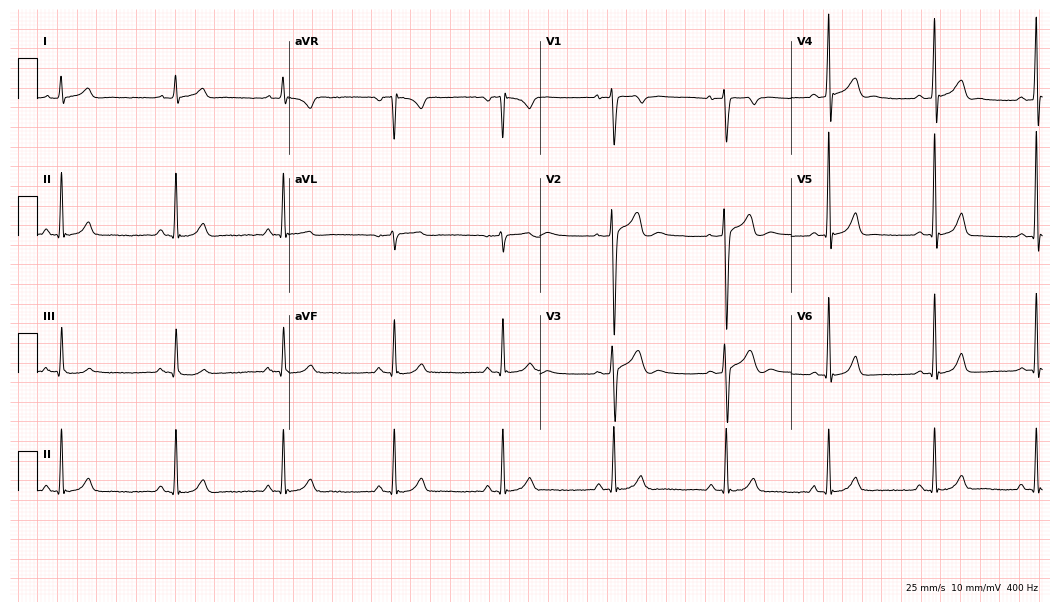
Electrocardiogram, a man, 19 years old. Overall reading on record: normal ECG.